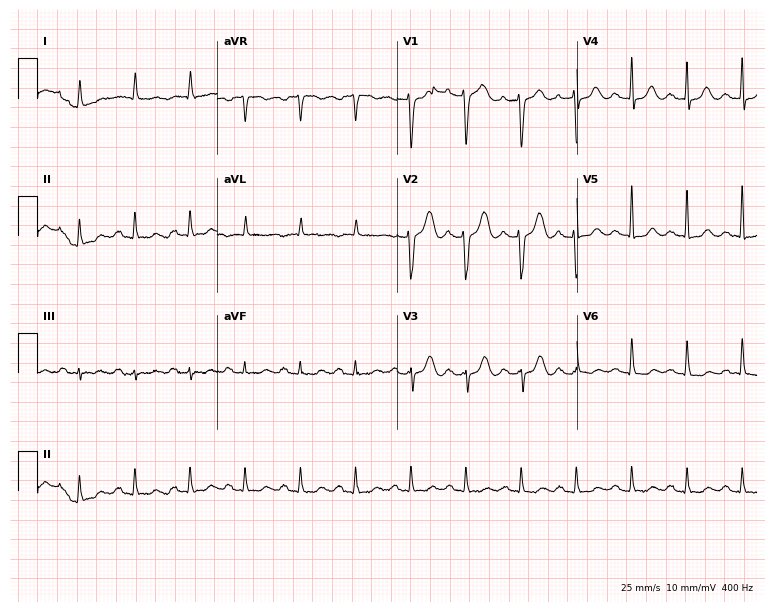
ECG (7.3-second recording at 400 Hz) — a female, 82 years old. Findings include sinus tachycardia (a sinus rate of 100 beats per minute or more).